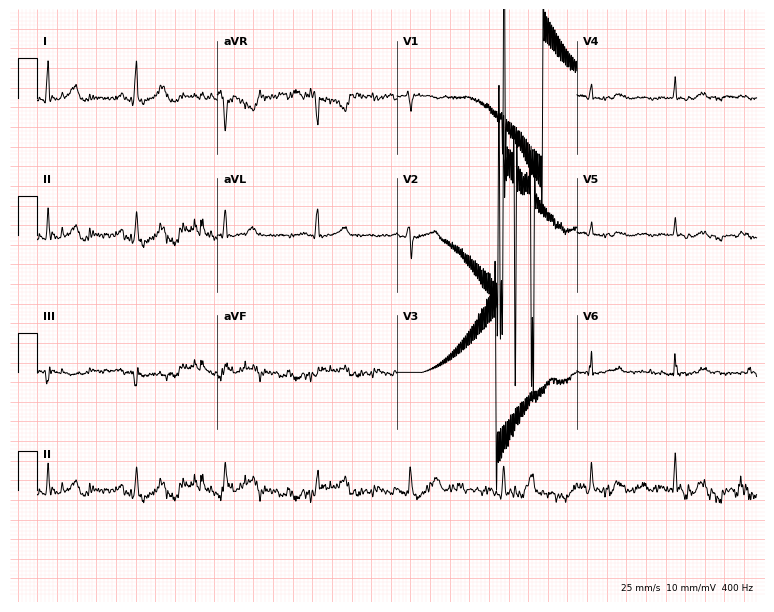
ECG — a 41-year-old female patient. Labelled as a normal ECG.